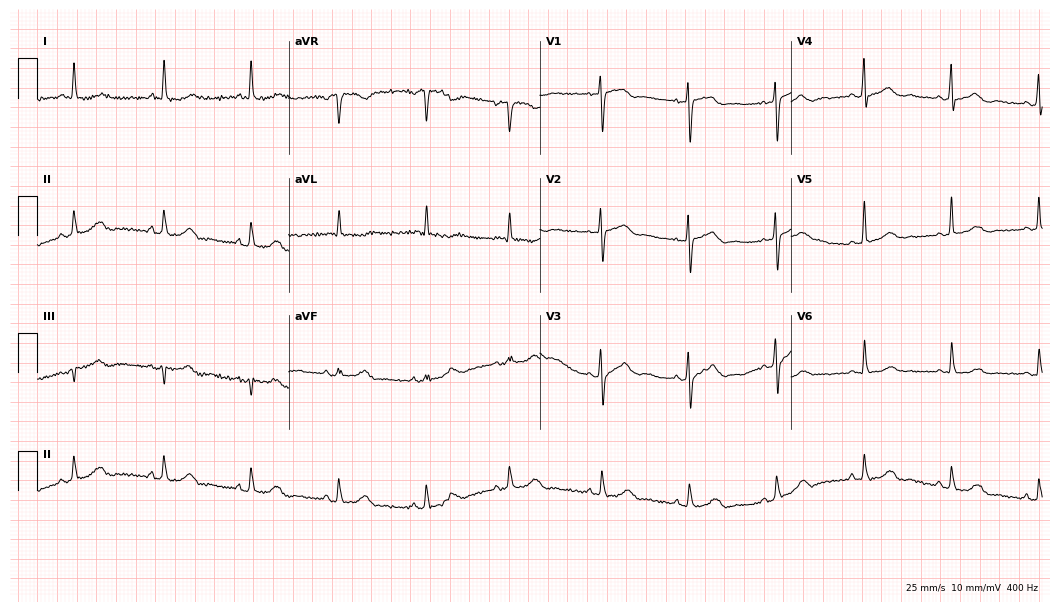
Electrocardiogram, a 73-year-old female. Of the six screened findings (first-degree AV block, right bundle branch block, left bundle branch block, sinus bradycardia, atrial fibrillation, sinus tachycardia), none is recorded.